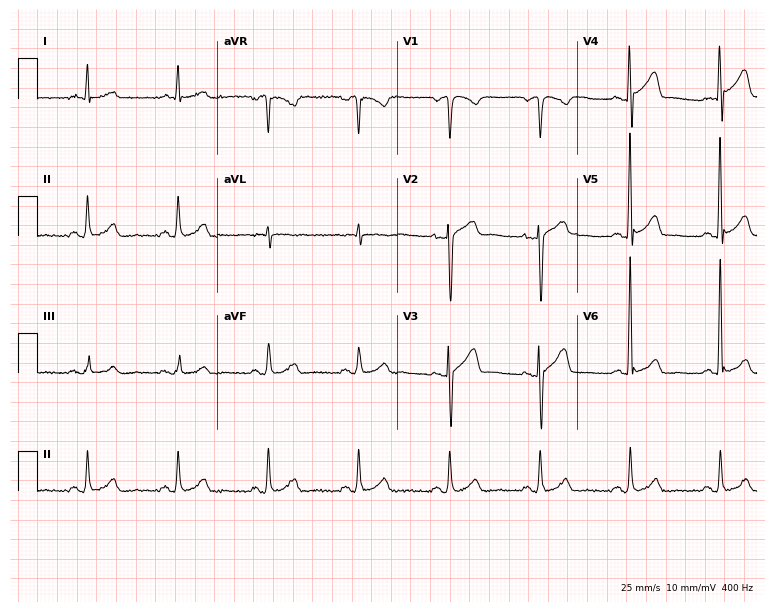
12-lead ECG (7.3-second recording at 400 Hz) from a 58-year-old man. Labelled as a normal ECG.